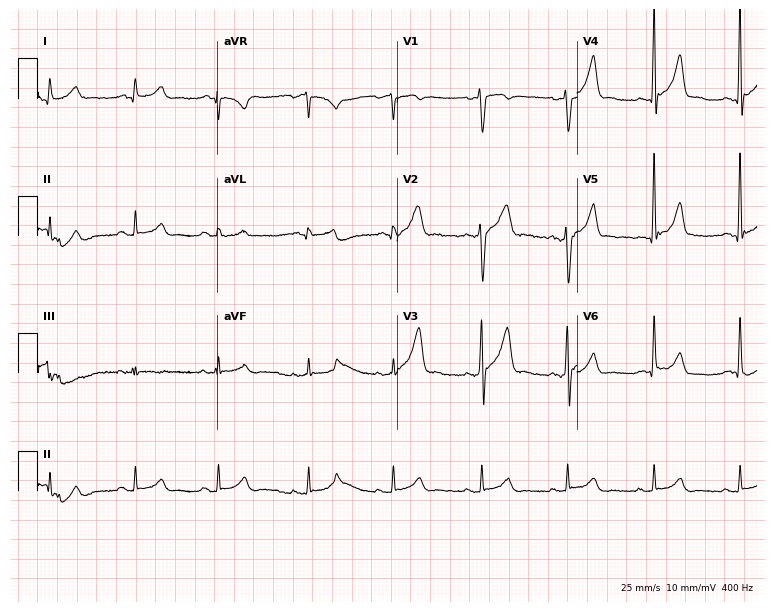
12-lead ECG from a 30-year-old male. Labelled as a normal ECG.